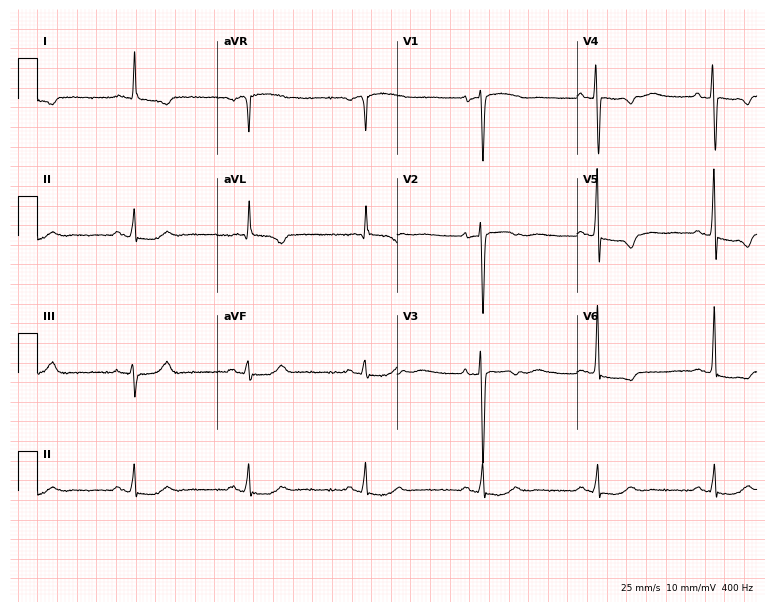
12-lead ECG from an 82-year-old female. Screened for six findings — first-degree AV block, right bundle branch block, left bundle branch block, sinus bradycardia, atrial fibrillation, sinus tachycardia — none is recorded.